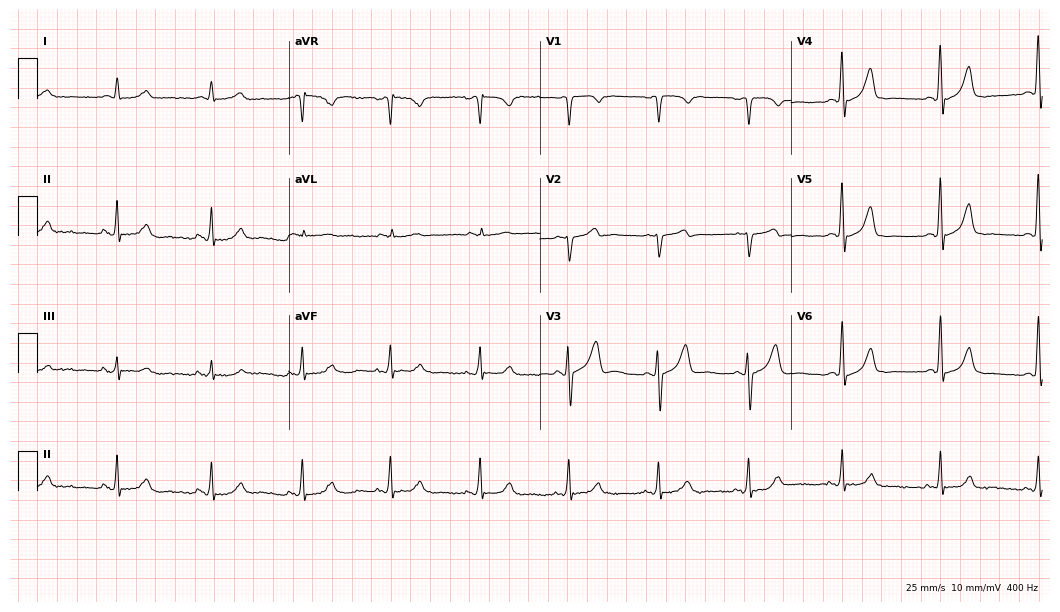
Standard 12-lead ECG recorded from a 67-year-old male patient (10.2-second recording at 400 Hz). Read as a normal ECG.